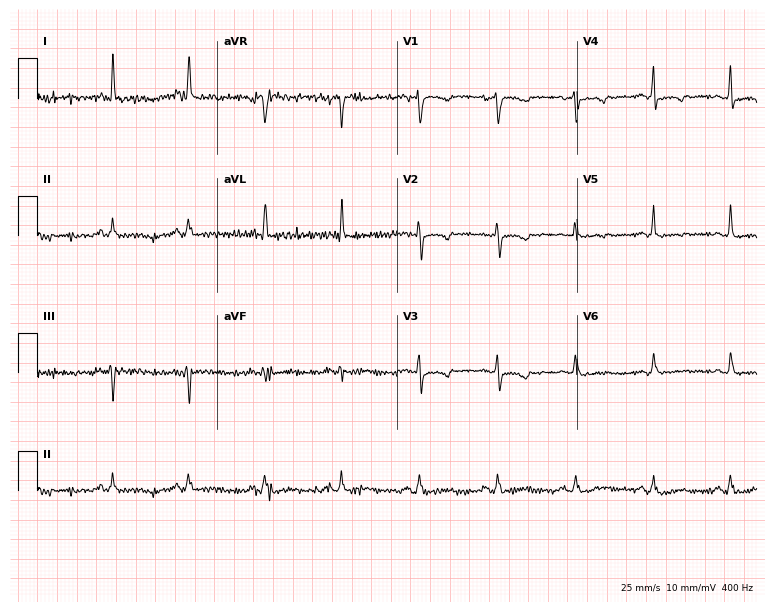
ECG — a 66-year-old female. Screened for six findings — first-degree AV block, right bundle branch block (RBBB), left bundle branch block (LBBB), sinus bradycardia, atrial fibrillation (AF), sinus tachycardia — none is recorded.